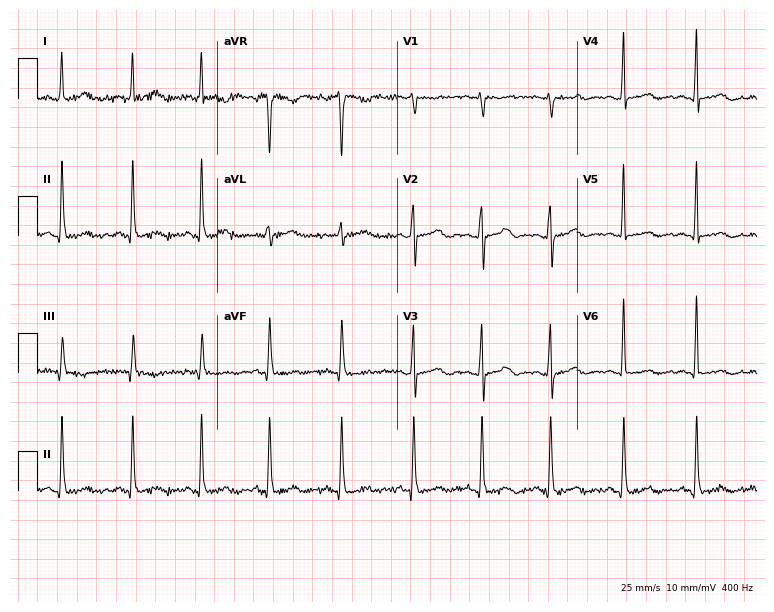
ECG (7.3-second recording at 400 Hz) — a female, 41 years old. Screened for six findings — first-degree AV block, right bundle branch block, left bundle branch block, sinus bradycardia, atrial fibrillation, sinus tachycardia — none is recorded.